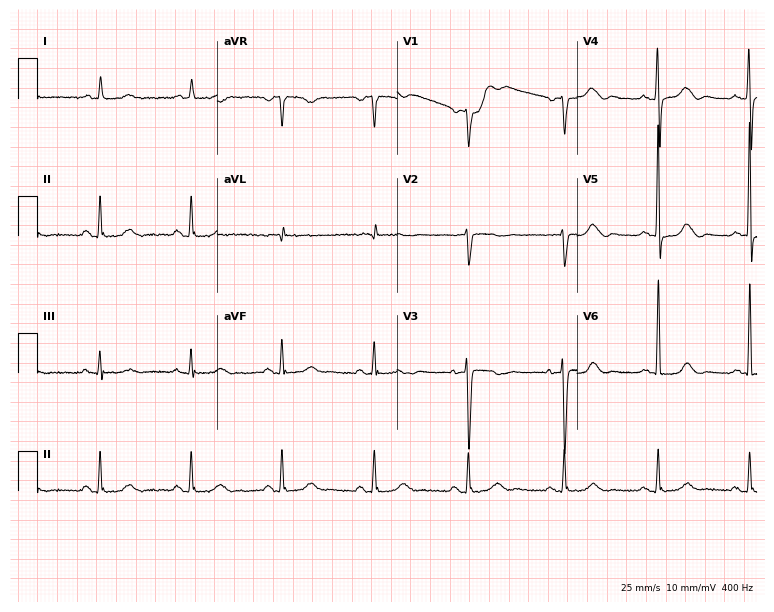
12-lead ECG (7.3-second recording at 400 Hz) from a woman, 84 years old. Screened for six findings — first-degree AV block, right bundle branch block, left bundle branch block, sinus bradycardia, atrial fibrillation, sinus tachycardia — none is recorded. Findings outside these six are not listed.